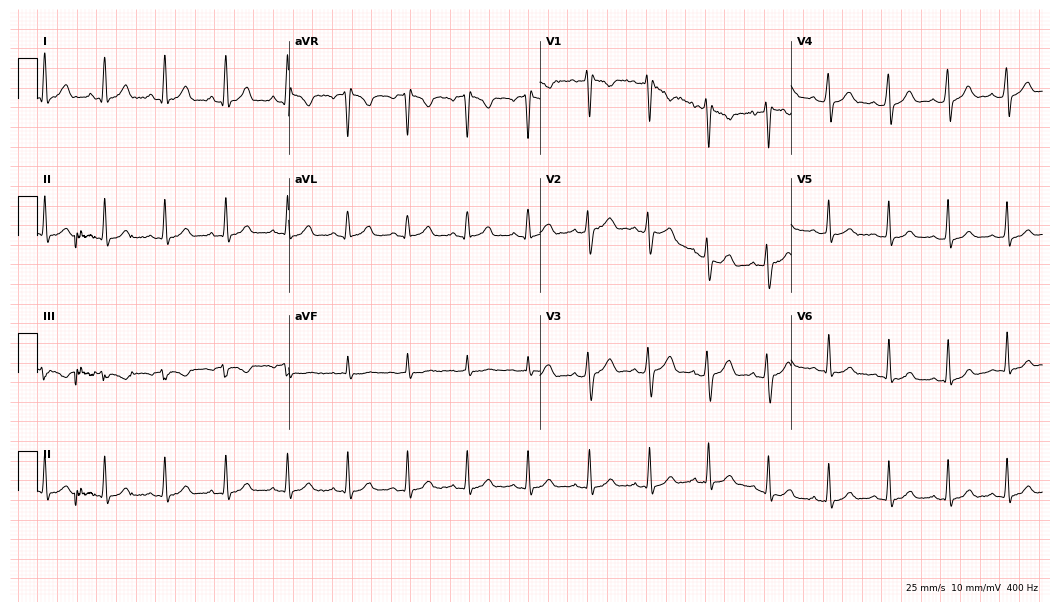
Resting 12-lead electrocardiogram. Patient: a woman, 29 years old. None of these six findings is recorded: first-degree AV block, right bundle branch block, left bundle branch block, sinus bradycardia, atrial fibrillation, sinus tachycardia.